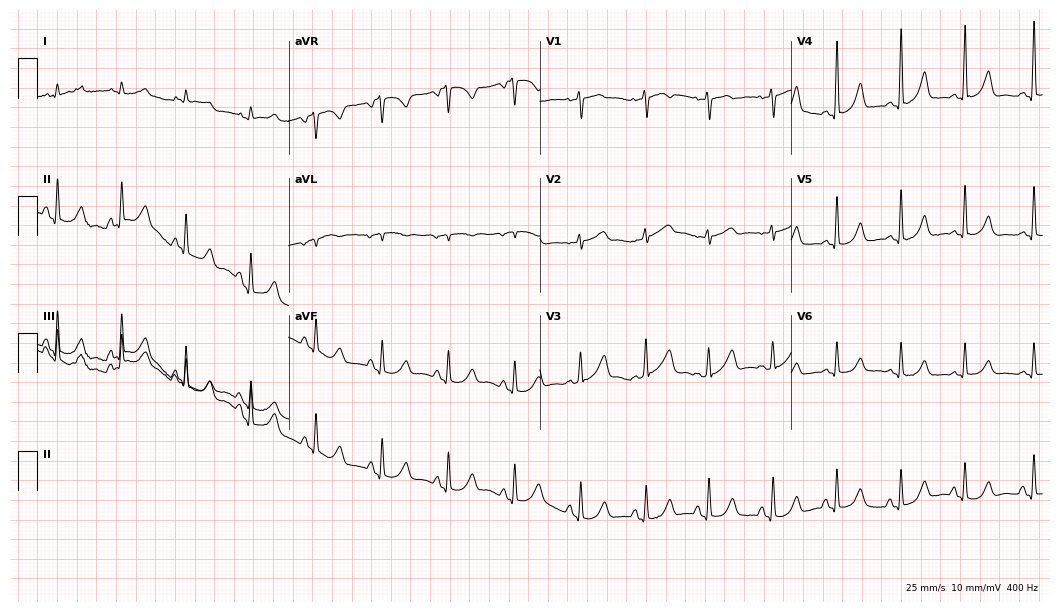
Resting 12-lead electrocardiogram. Patient: a female, 56 years old. None of these six findings is recorded: first-degree AV block, right bundle branch block (RBBB), left bundle branch block (LBBB), sinus bradycardia, atrial fibrillation (AF), sinus tachycardia. Other findings, if any, are not listed.